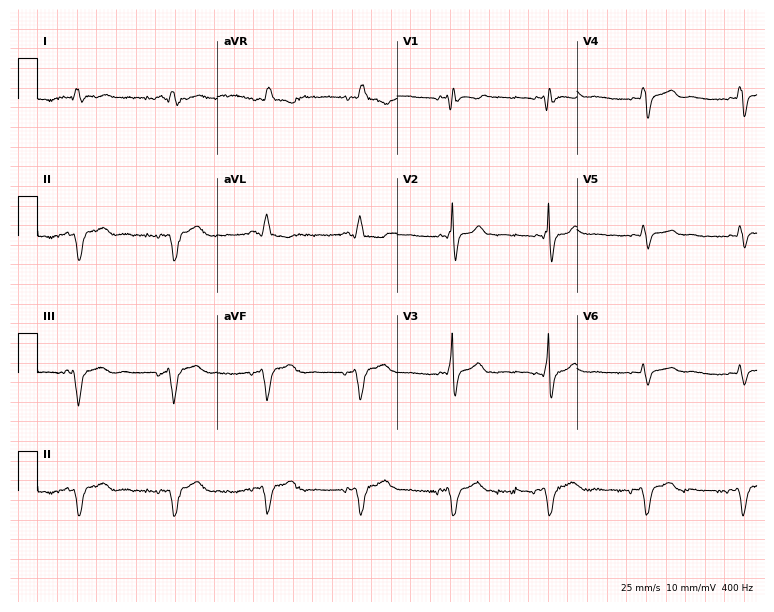
Resting 12-lead electrocardiogram. Patient: a man, 48 years old. None of these six findings is recorded: first-degree AV block, right bundle branch block, left bundle branch block, sinus bradycardia, atrial fibrillation, sinus tachycardia.